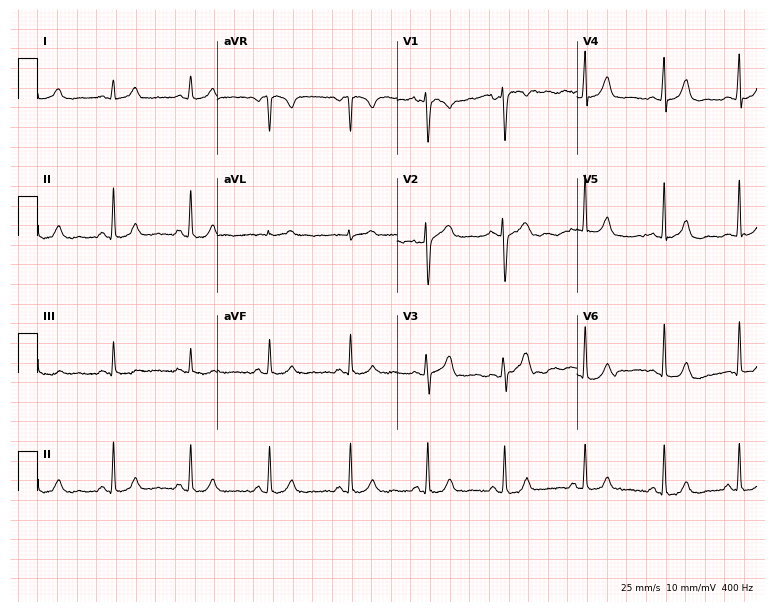
Resting 12-lead electrocardiogram (7.3-second recording at 400 Hz). Patient: a woman, 25 years old. None of these six findings is recorded: first-degree AV block, right bundle branch block (RBBB), left bundle branch block (LBBB), sinus bradycardia, atrial fibrillation (AF), sinus tachycardia. Only these six findings were labelled.